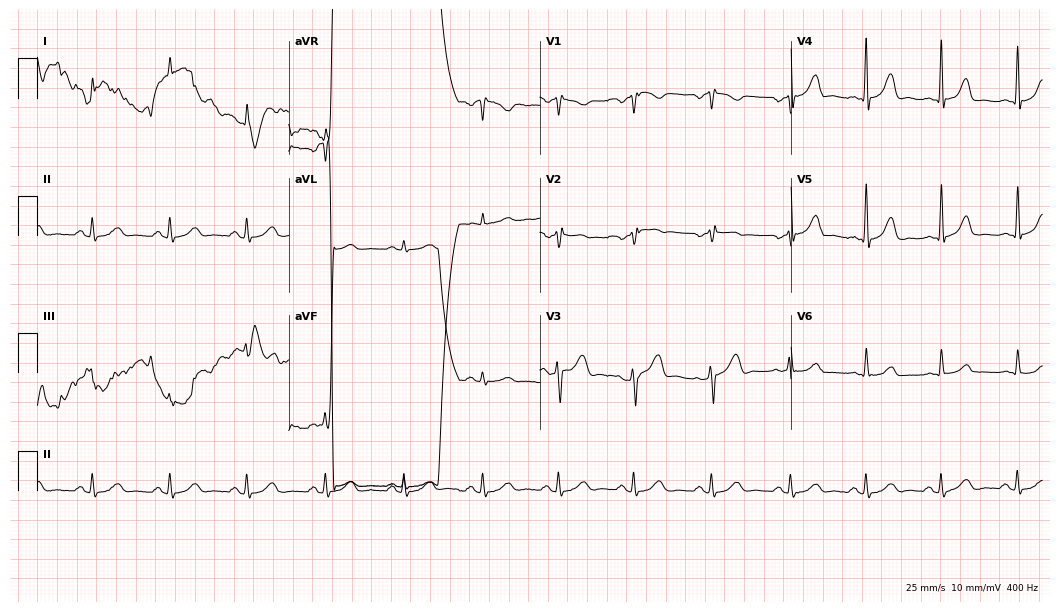
Standard 12-lead ECG recorded from a 56-year-old male patient. None of these six findings is recorded: first-degree AV block, right bundle branch block (RBBB), left bundle branch block (LBBB), sinus bradycardia, atrial fibrillation (AF), sinus tachycardia.